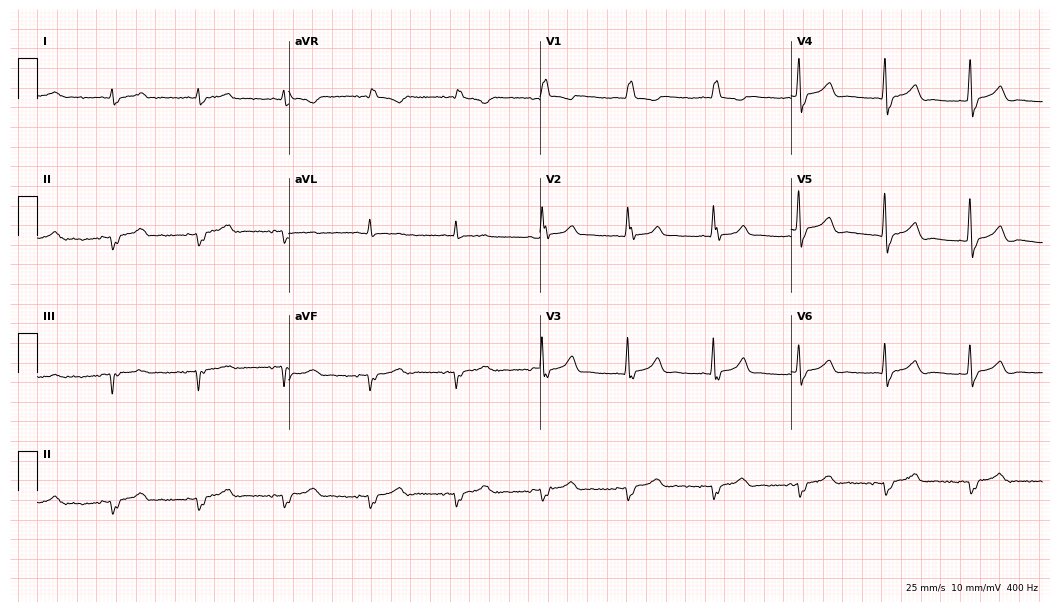
12-lead ECG from a male, 17 years old. No first-degree AV block, right bundle branch block (RBBB), left bundle branch block (LBBB), sinus bradycardia, atrial fibrillation (AF) or sinus tachycardia recorded for this tracing.